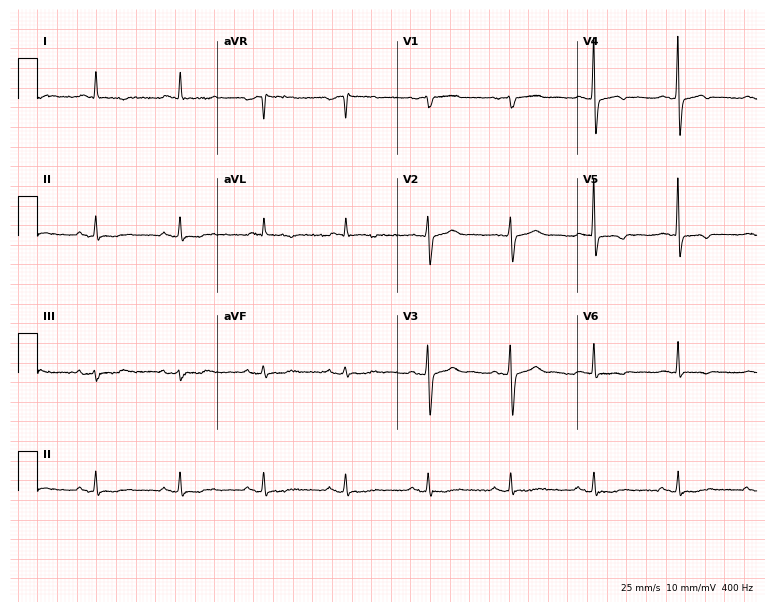
Resting 12-lead electrocardiogram. Patient: a male, 76 years old. None of these six findings is recorded: first-degree AV block, right bundle branch block, left bundle branch block, sinus bradycardia, atrial fibrillation, sinus tachycardia. Only these six findings were labelled.